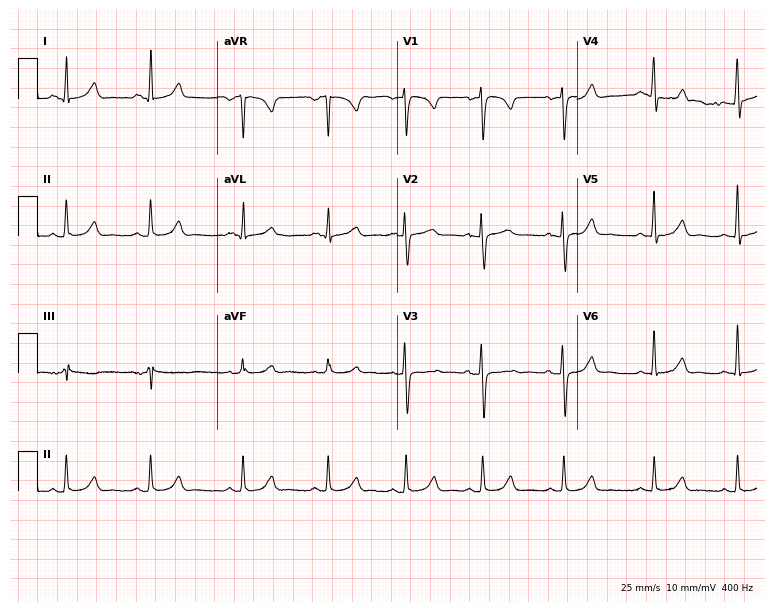
Resting 12-lead electrocardiogram (7.3-second recording at 400 Hz). Patient: a female, 44 years old. Read as a normal ECG.